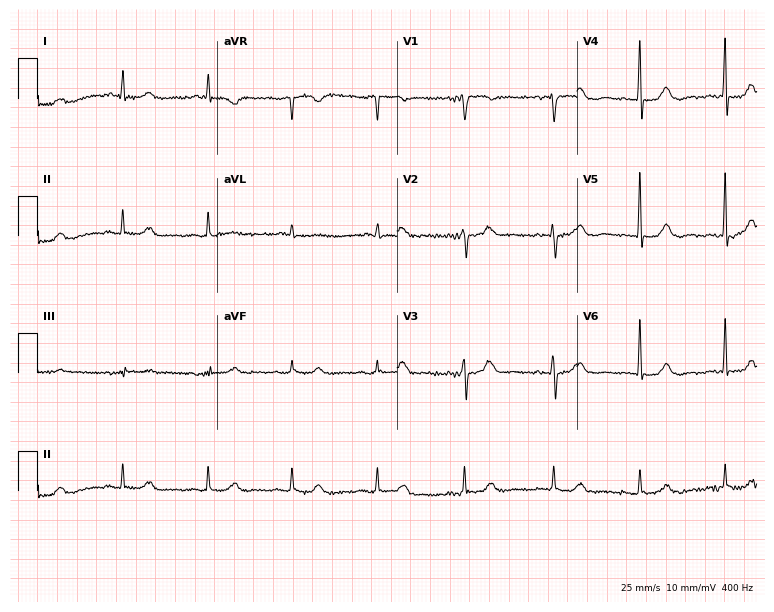
12-lead ECG (7.3-second recording at 400 Hz) from a 64-year-old woman. Labelled as a normal ECG.